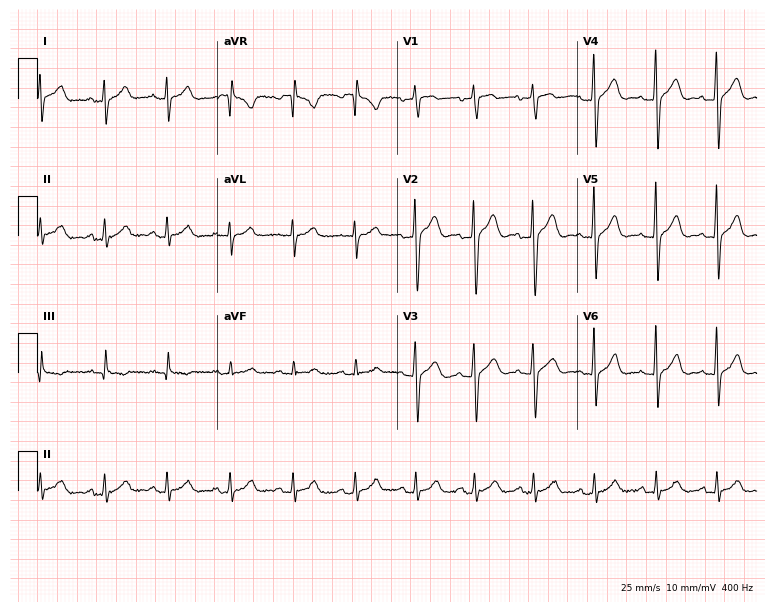
Standard 12-lead ECG recorded from a man, 33 years old (7.3-second recording at 400 Hz). Read as a normal ECG.